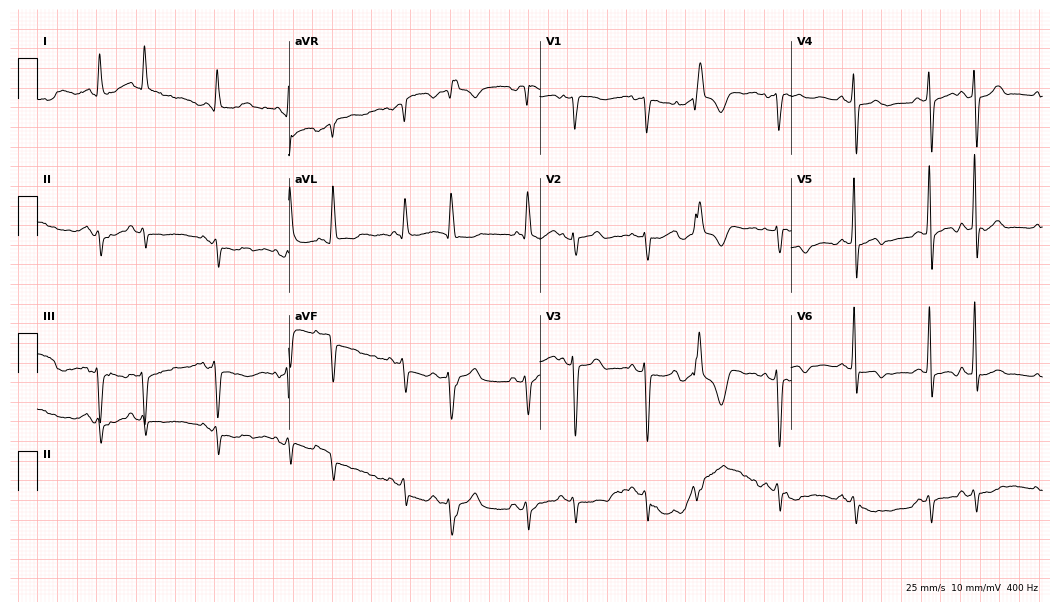
12-lead ECG from a male patient, 83 years old (10.2-second recording at 400 Hz). No first-degree AV block, right bundle branch block (RBBB), left bundle branch block (LBBB), sinus bradycardia, atrial fibrillation (AF) or sinus tachycardia recorded for this tracing. Findings outside these six are not listed.